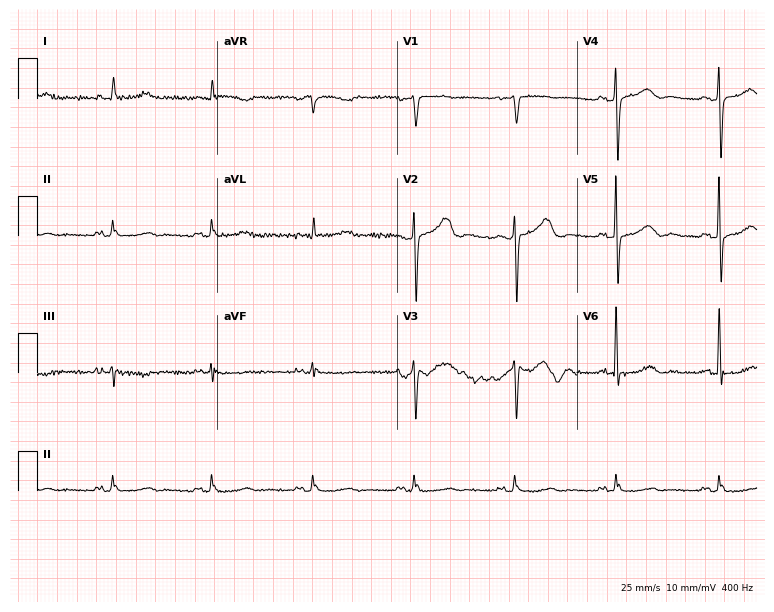
Electrocardiogram (7.3-second recording at 400 Hz), an 86-year-old female patient. Of the six screened findings (first-degree AV block, right bundle branch block (RBBB), left bundle branch block (LBBB), sinus bradycardia, atrial fibrillation (AF), sinus tachycardia), none is recorded.